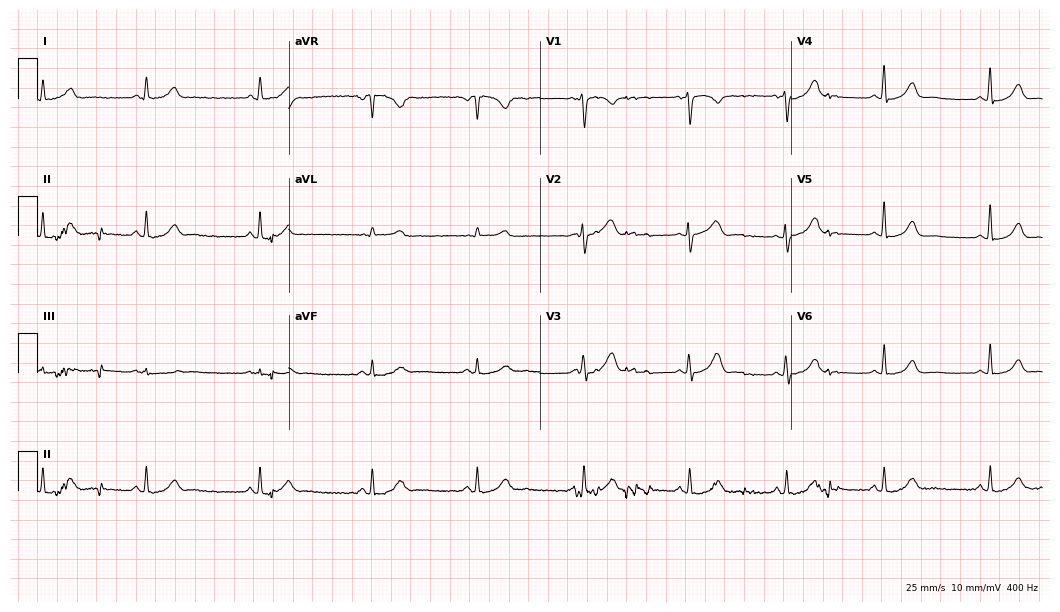
ECG (10.2-second recording at 400 Hz) — a 47-year-old female. Labelled as a normal ECG.